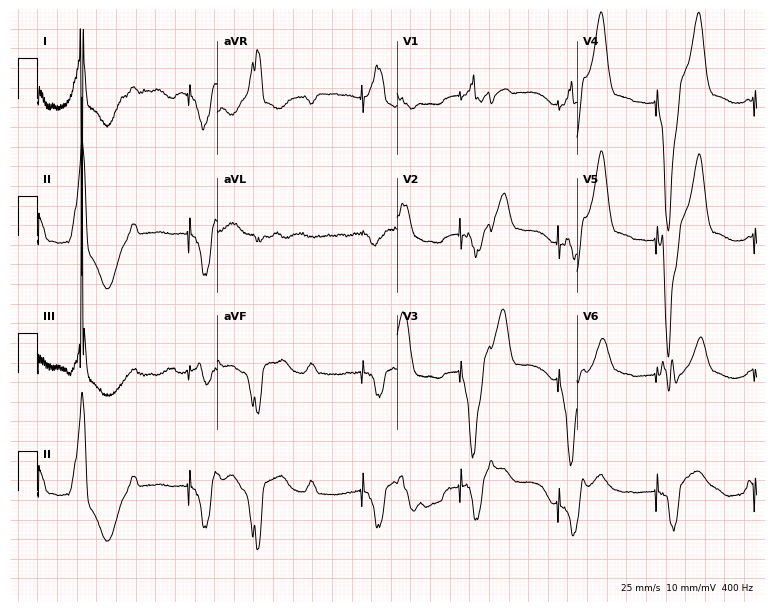
Electrocardiogram (7.3-second recording at 400 Hz), a 57-year-old female. Of the six screened findings (first-degree AV block, right bundle branch block, left bundle branch block, sinus bradycardia, atrial fibrillation, sinus tachycardia), none is recorded.